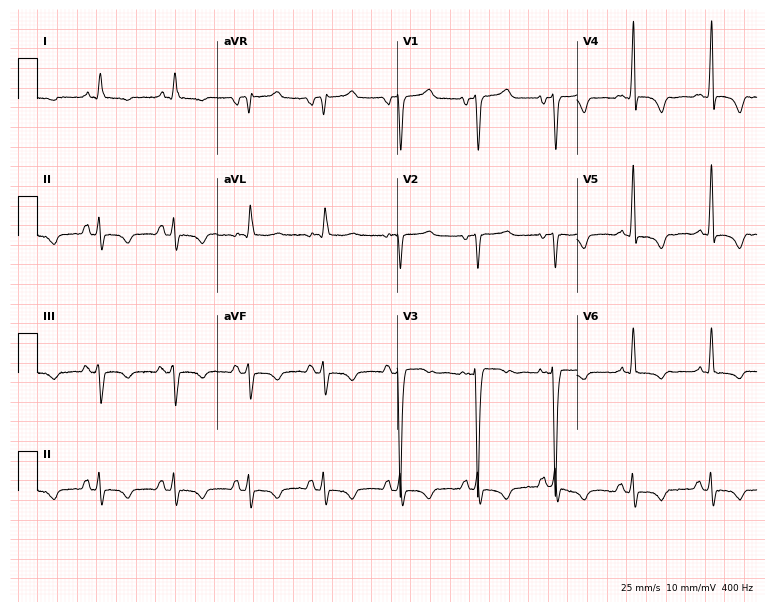
Resting 12-lead electrocardiogram. Patient: a 67-year-old male. Read as a normal ECG.